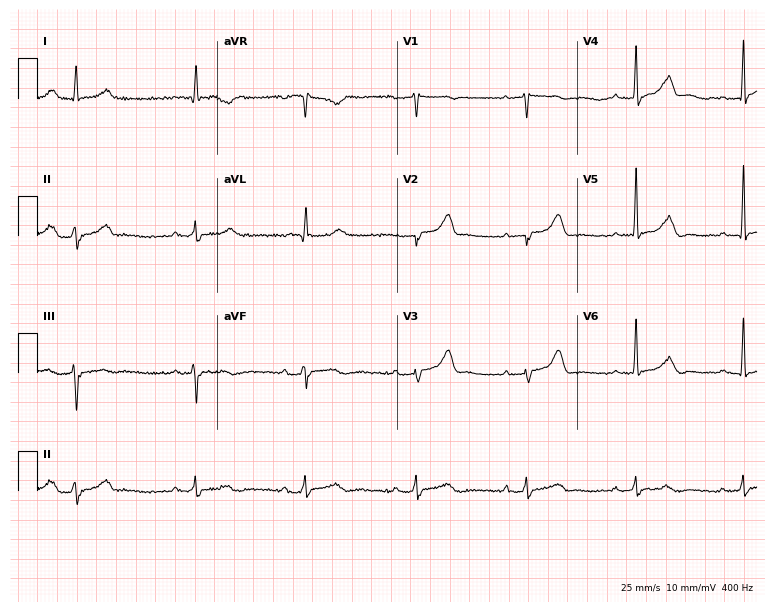
Standard 12-lead ECG recorded from a 75-year-old man. None of these six findings is recorded: first-degree AV block, right bundle branch block (RBBB), left bundle branch block (LBBB), sinus bradycardia, atrial fibrillation (AF), sinus tachycardia. Other findings, if any, are not listed.